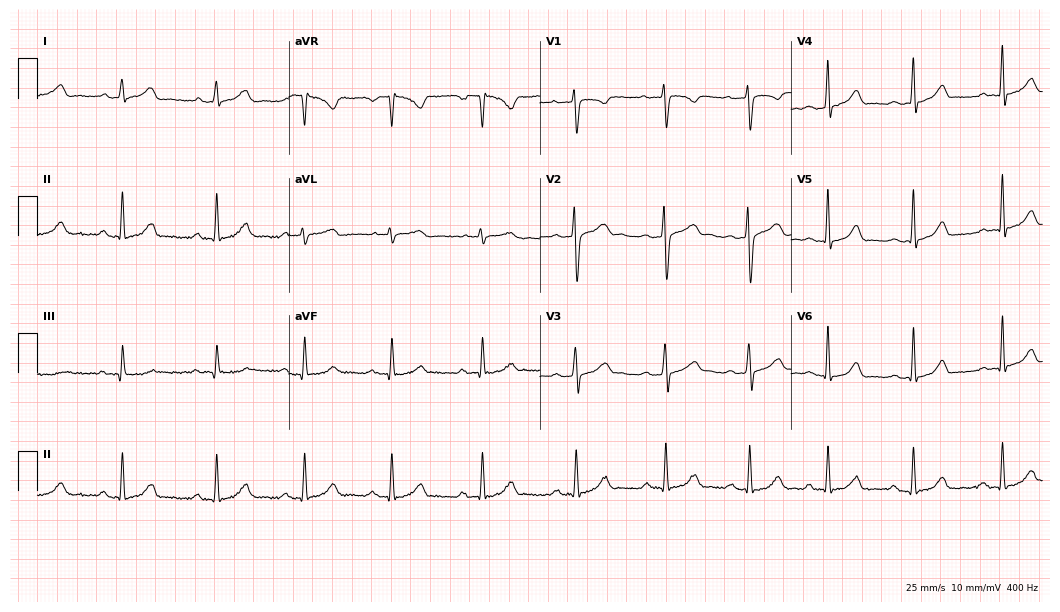
12-lead ECG from a woman, 31 years old (10.2-second recording at 400 Hz). Recorded interpretation: within normal limits.